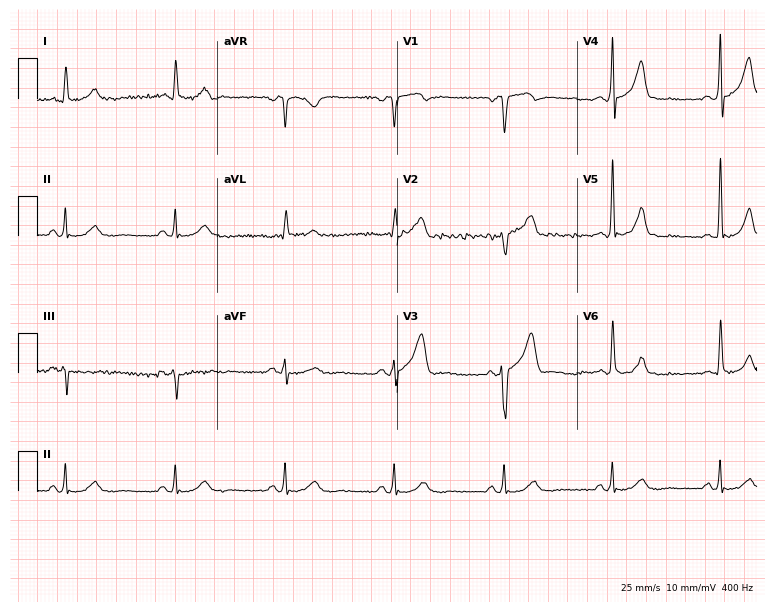
Standard 12-lead ECG recorded from a 77-year-old man. None of these six findings is recorded: first-degree AV block, right bundle branch block, left bundle branch block, sinus bradycardia, atrial fibrillation, sinus tachycardia. Only these six findings were labelled.